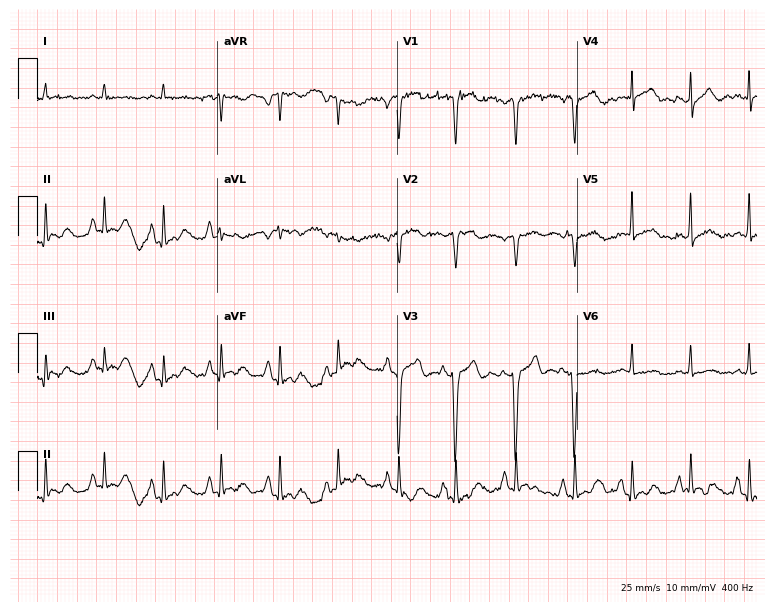
ECG — a male patient, 73 years old. Screened for six findings — first-degree AV block, right bundle branch block, left bundle branch block, sinus bradycardia, atrial fibrillation, sinus tachycardia — none is recorded.